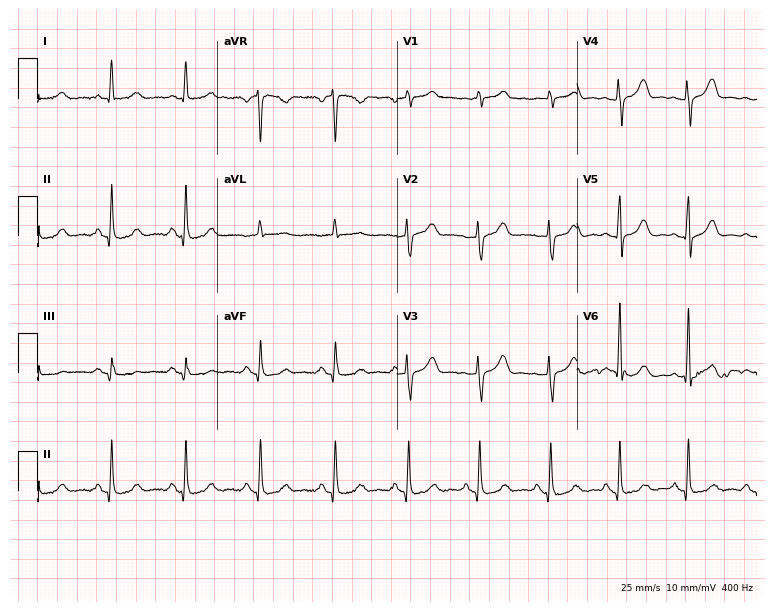
Electrocardiogram (7.3-second recording at 400 Hz), a woman, 48 years old. Overall reading on record: normal ECG.